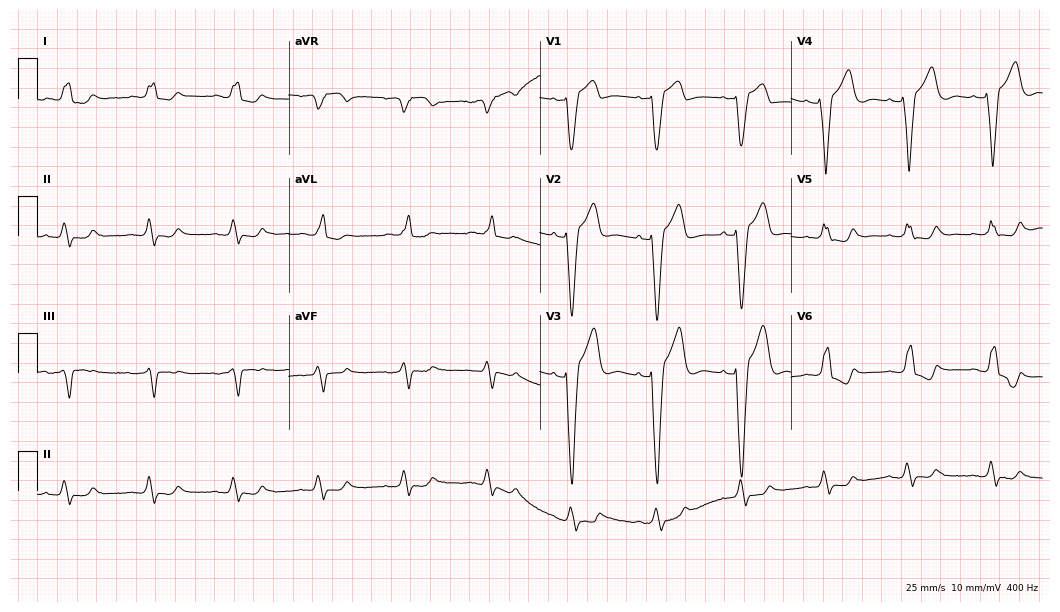
ECG (10.2-second recording at 400 Hz) — a 65-year-old man. Findings include left bundle branch block.